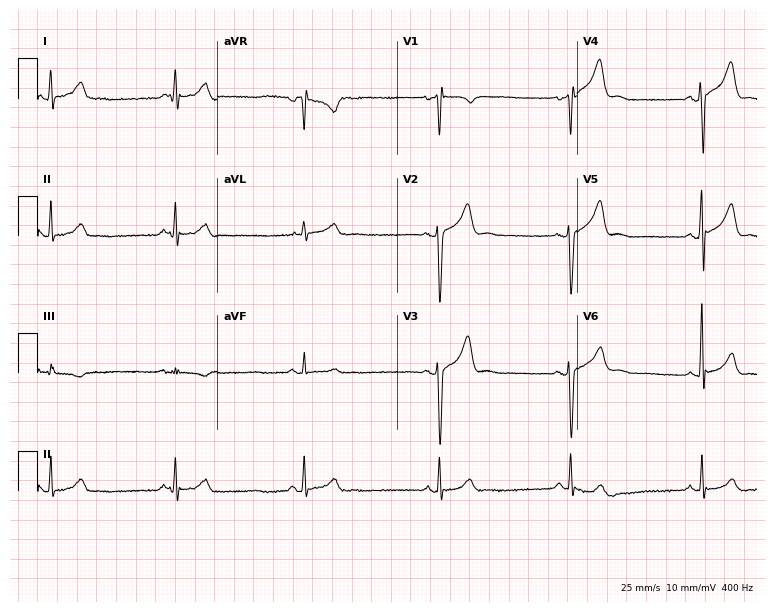
12-lead ECG from a male patient, 43 years old. Shows sinus bradycardia (a sinus rate of 50 beats per minute or less).